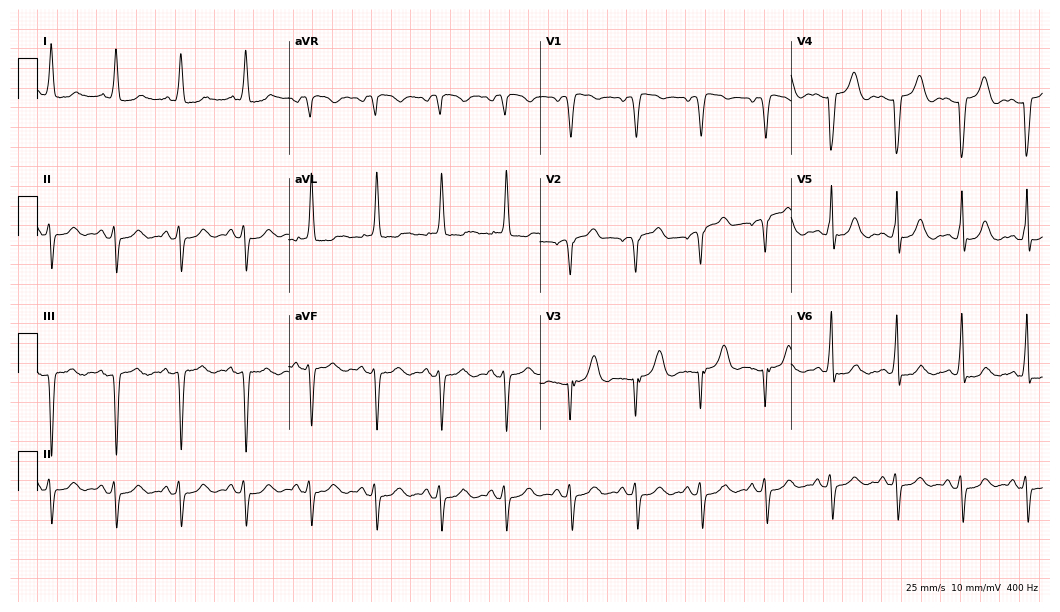
ECG (10.2-second recording at 400 Hz) — a female patient, 72 years old. Screened for six findings — first-degree AV block, right bundle branch block, left bundle branch block, sinus bradycardia, atrial fibrillation, sinus tachycardia — none is recorded.